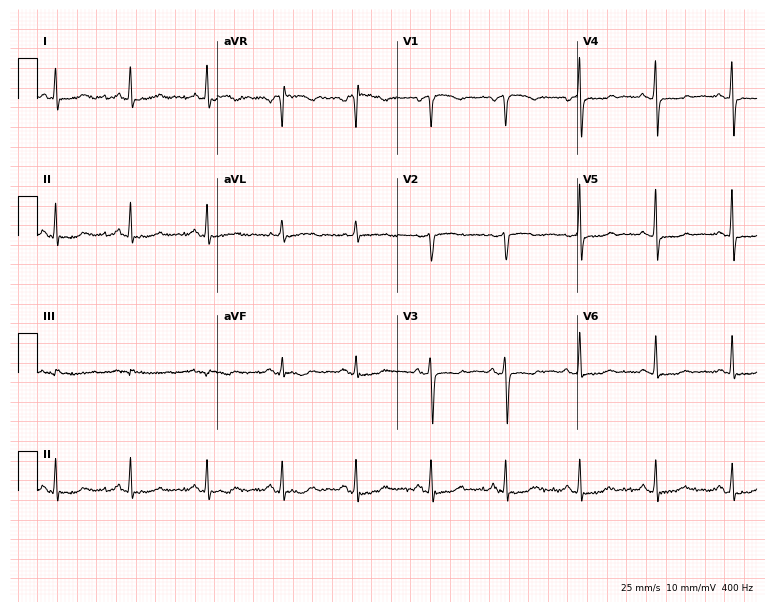
Electrocardiogram (7.3-second recording at 400 Hz), a 57-year-old female. Of the six screened findings (first-degree AV block, right bundle branch block, left bundle branch block, sinus bradycardia, atrial fibrillation, sinus tachycardia), none is recorded.